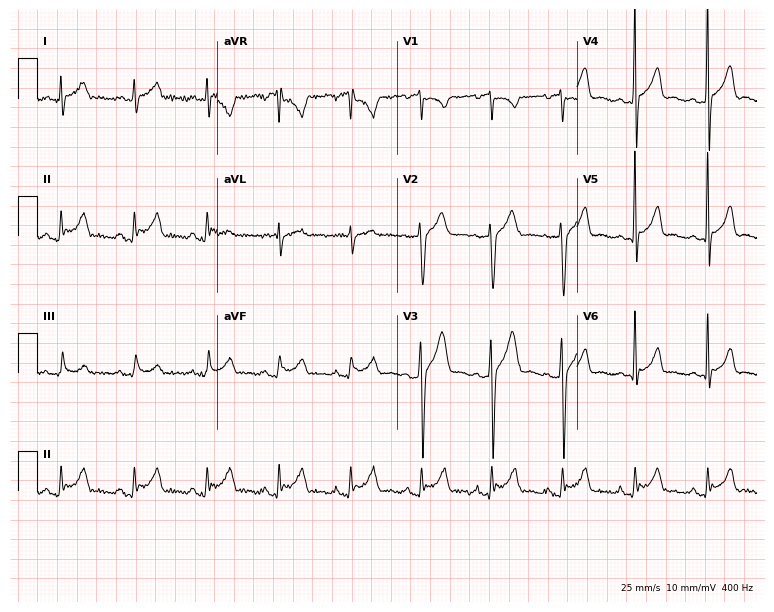
12-lead ECG from a 39-year-old male patient (7.3-second recording at 400 Hz). Recorded interpretation: within normal limits.